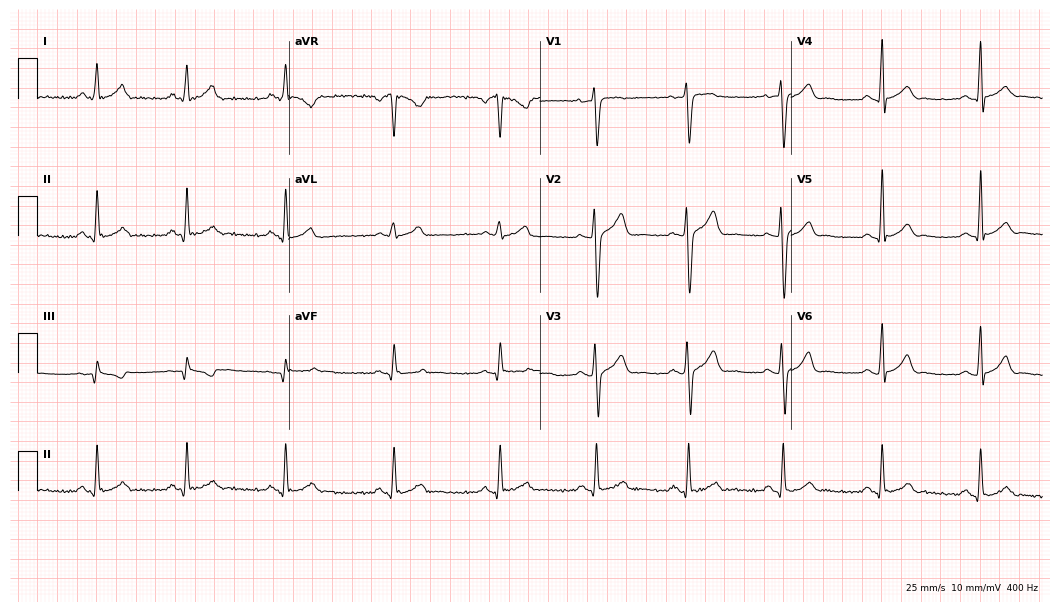
12-lead ECG from a 34-year-old man. Recorded interpretation: within normal limits.